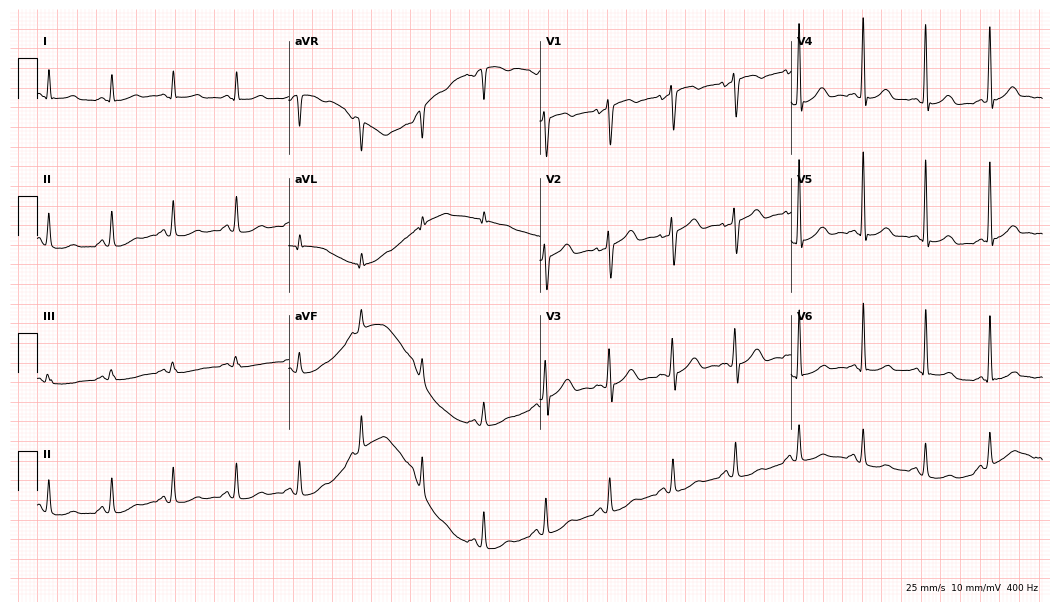
Resting 12-lead electrocardiogram (10.2-second recording at 400 Hz). Patient: a female, 53 years old. Read as a normal ECG.